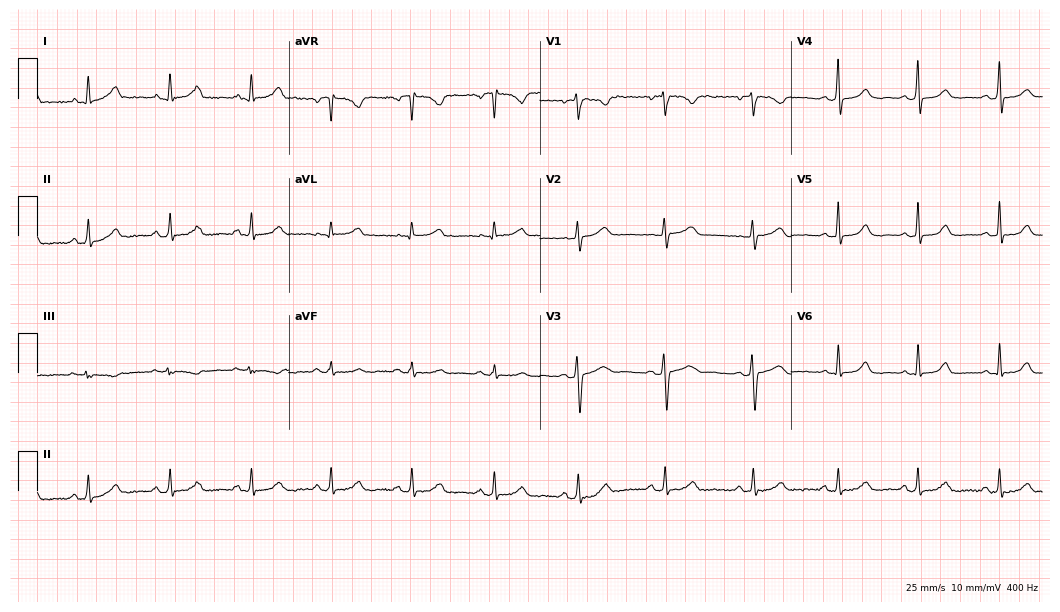
Standard 12-lead ECG recorded from a female patient, 26 years old (10.2-second recording at 400 Hz). Read as a normal ECG.